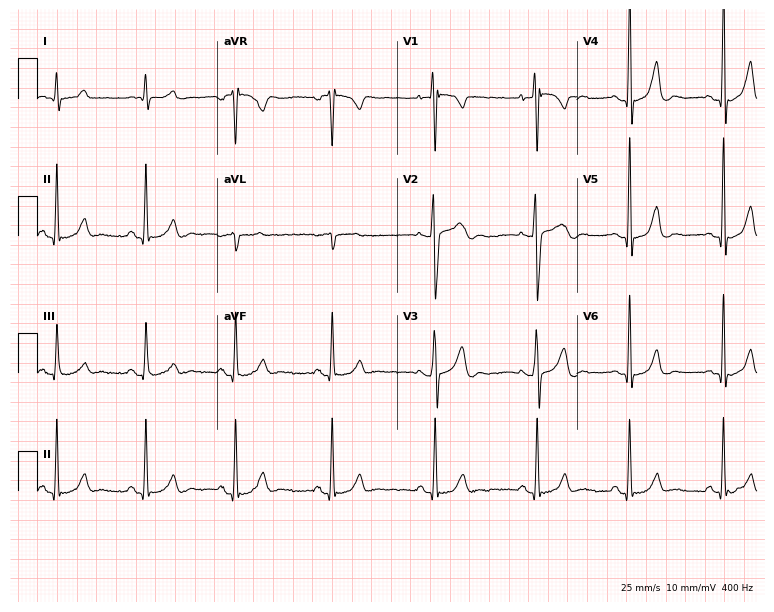
Standard 12-lead ECG recorded from a male patient, 28 years old (7.3-second recording at 400 Hz). Read as a normal ECG.